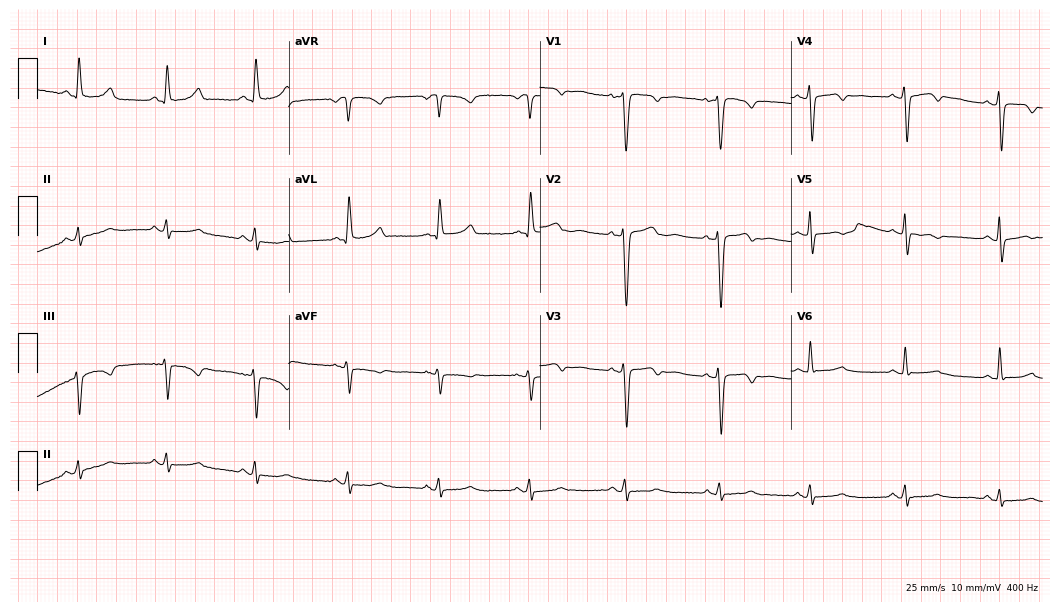
Resting 12-lead electrocardiogram (10.2-second recording at 400 Hz). Patient: a 50-year-old female. None of these six findings is recorded: first-degree AV block, right bundle branch block (RBBB), left bundle branch block (LBBB), sinus bradycardia, atrial fibrillation (AF), sinus tachycardia.